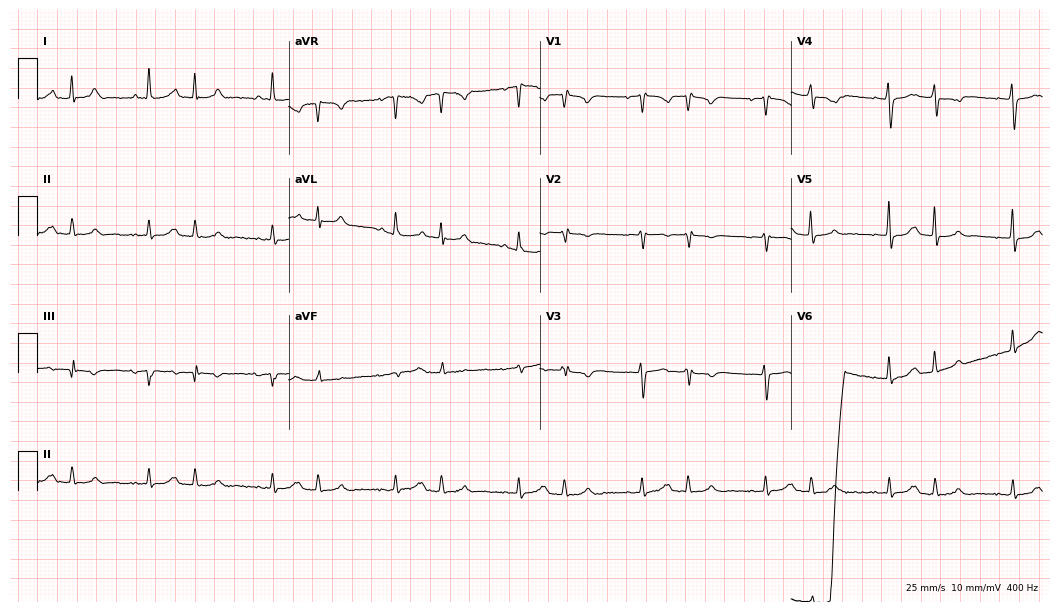
ECG (10.2-second recording at 400 Hz) — a female, 80 years old. Screened for six findings — first-degree AV block, right bundle branch block (RBBB), left bundle branch block (LBBB), sinus bradycardia, atrial fibrillation (AF), sinus tachycardia — none is recorded. Findings outside these six are not listed.